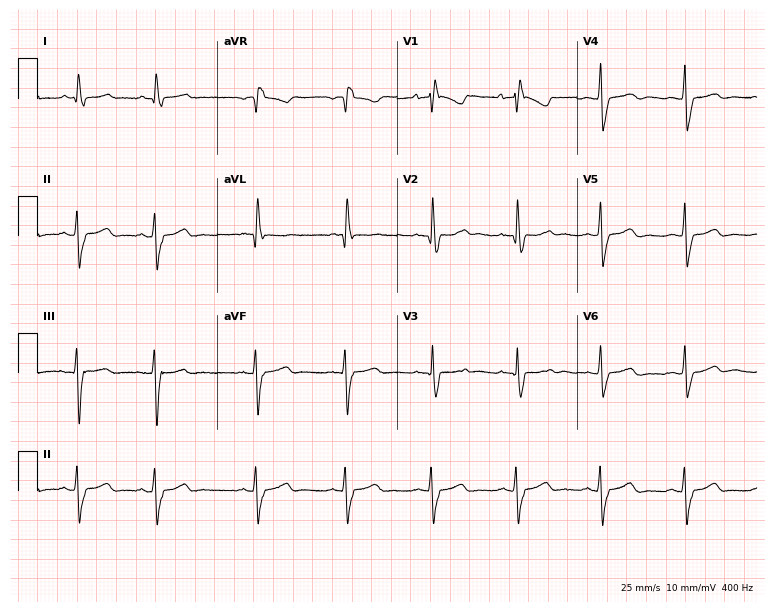
Standard 12-lead ECG recorded from a woman, 65 years old (7.3-second recording at 400 Hz). The tracing shows right bundle branch block.